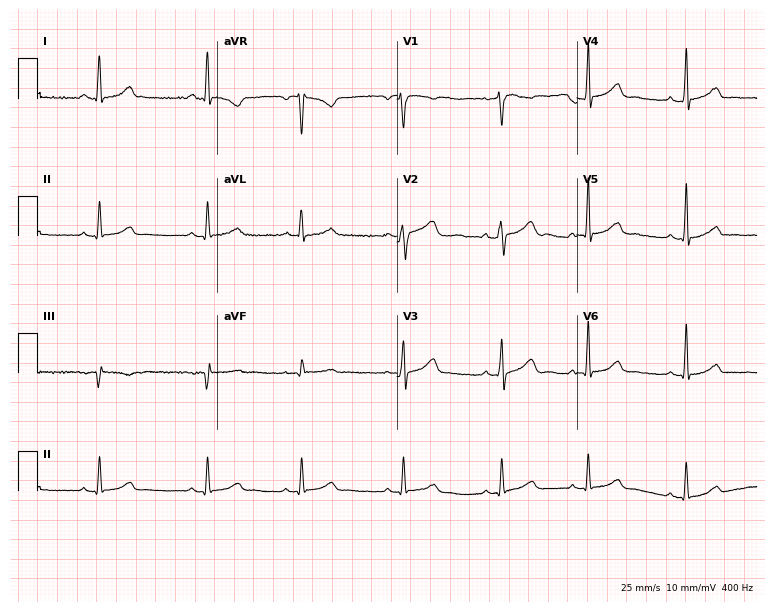
Standard 12-lead ECG recorded from a 30-year-old female patient (7.3-second recording at 400 Hz). Read as a normal ECG.